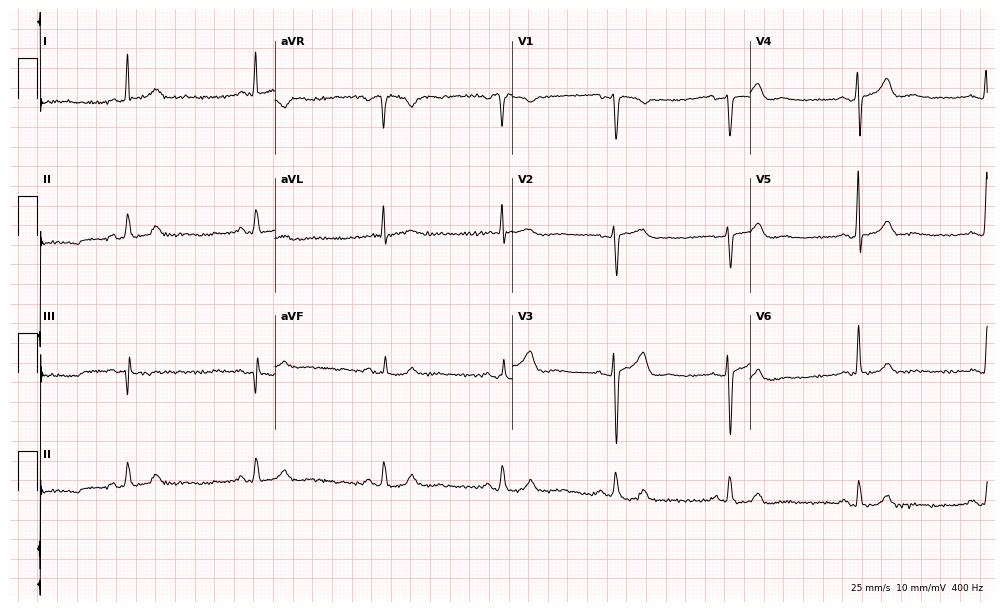
Electrocardiogram (9.7-second recording at 400 Hz), a male patient, 53 years old. Interpretation includes sinus bradycardia (a sinus rate of 50 beats per minute or less).